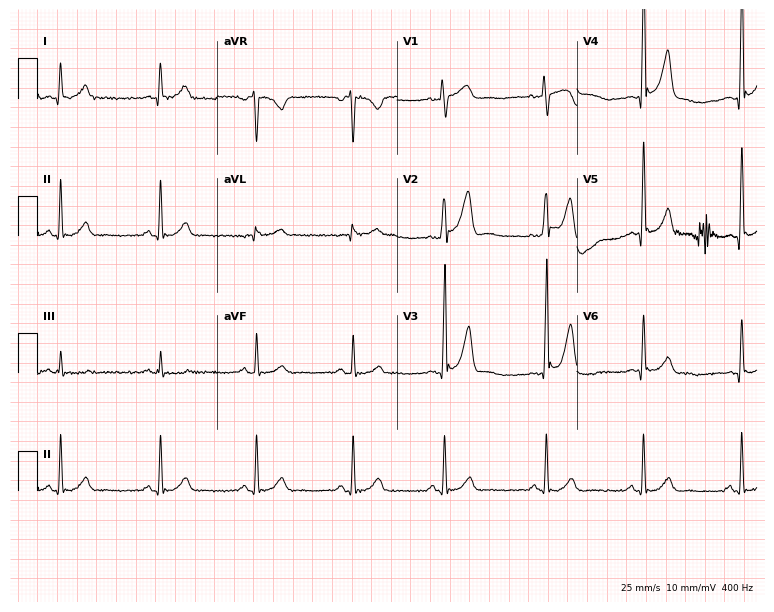
12-lead ECG from a male, 53 years old. No first-degree AV block, right bundle branch block, left bundle branch block, sinus bradycardia, atrial fibrillation or sinus tachycardia recorded for this tracing. Only these six findings were labelled.